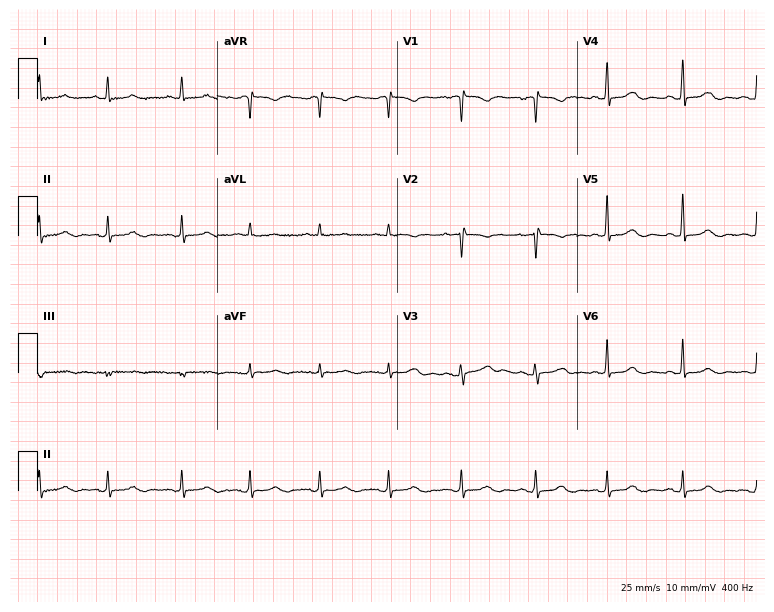
12-lead ECG from a female, 46 years old (7.3-second recording at 400 Hz). Recorded interpretation: within normal limits.